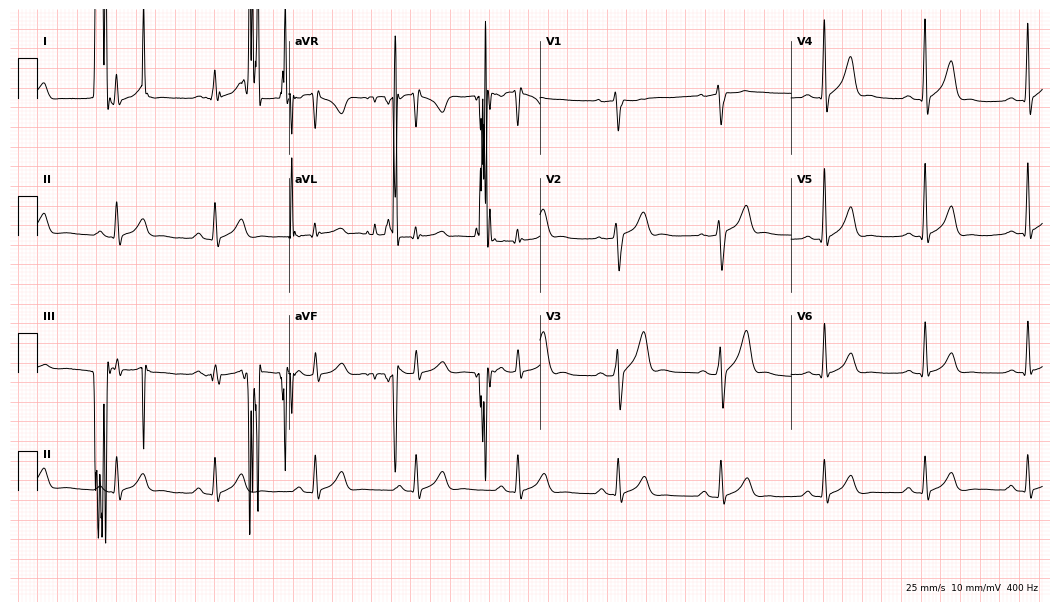
12-lead ECG from a 41-year-old male (10.2-second recording at 400 Hz). Recorded interpretation: within normal limits.